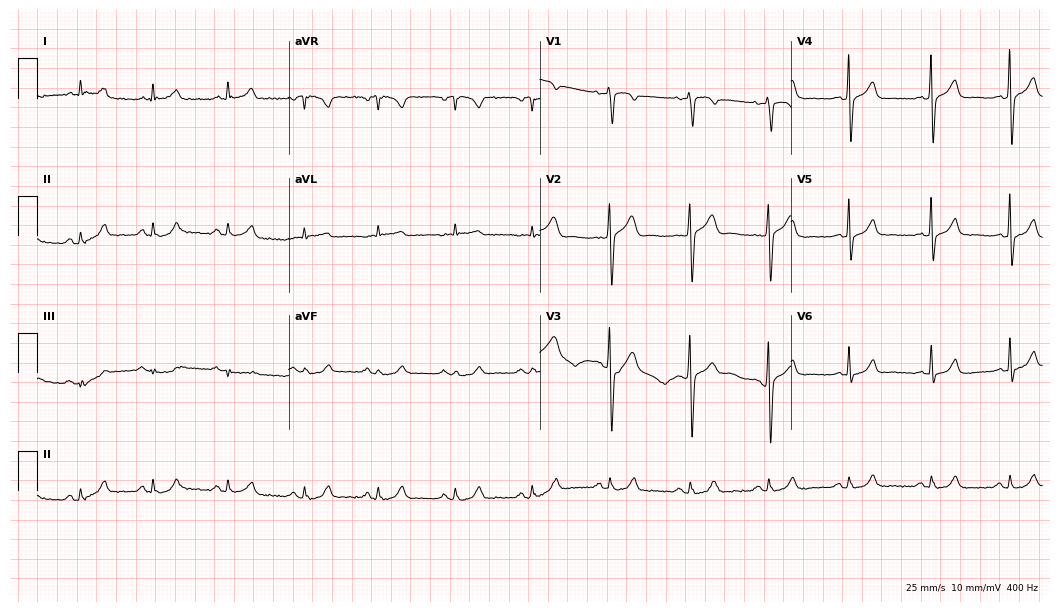
12-lead ECG from a male patient, 52 years old (10.2-second recording at 400 Hz). Recorded interpretation: within normal limits.